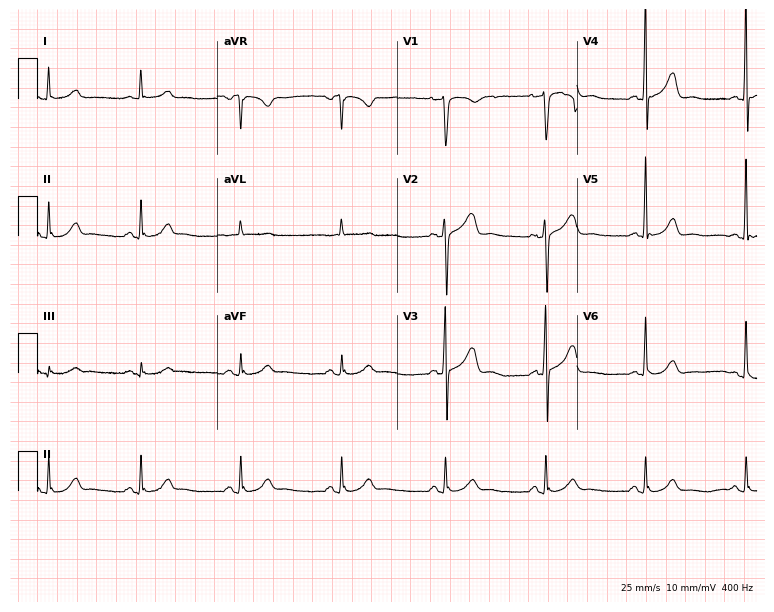
ECG (7.3-second recording at 400 Hz) — a man, 67 years old. Screened for six findings — first-degree AV block, right bundle branch block (RBBB), left bundle branch block (LBBB), sinus bradycardia, atrial fibrillation (AF), sinus tachycardia — none is recorded.